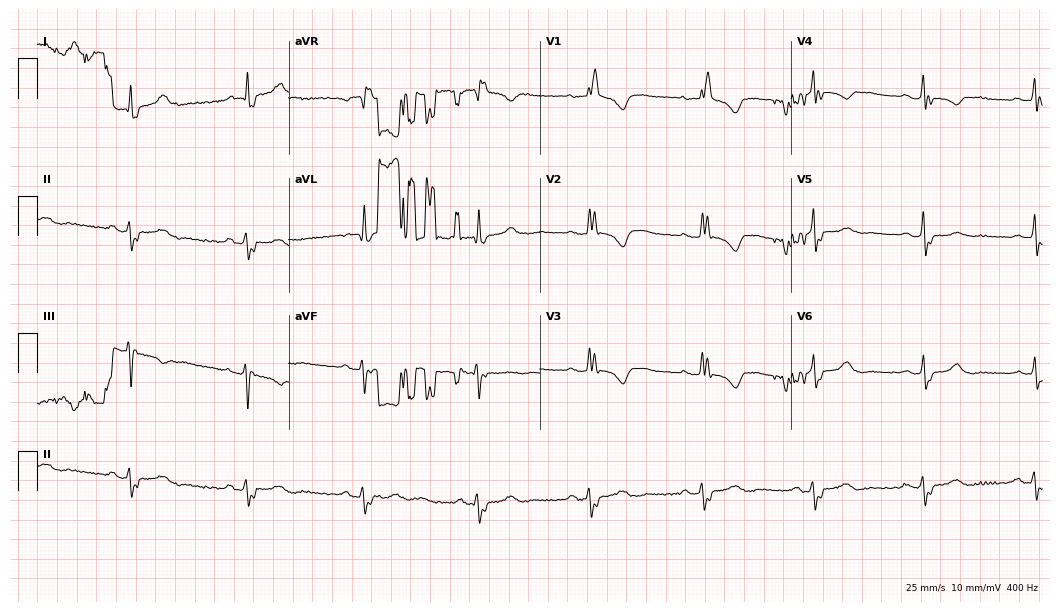
12-lead ECG (10.2-second recording at 400 Hz) from a 60-year-old female. Findings include right bundle branch block.